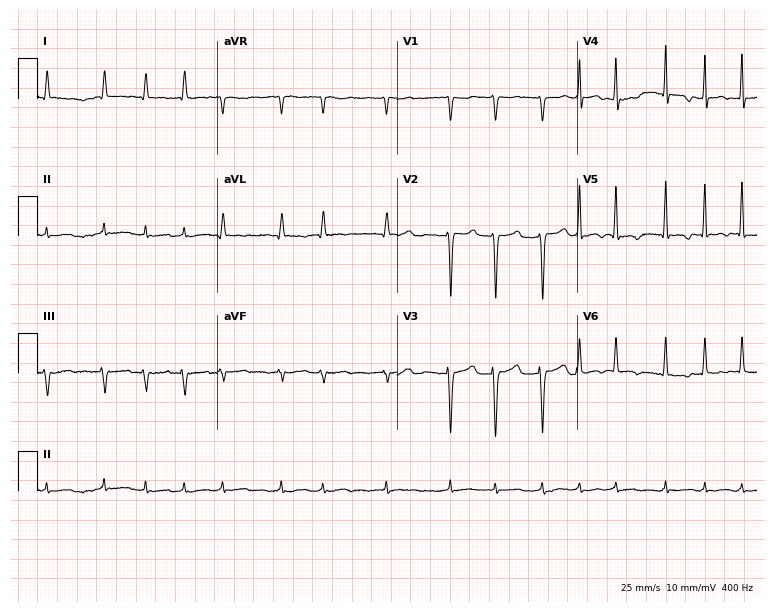
ECG — an 85-year-old male patient. Findings include atrial fibrillation.